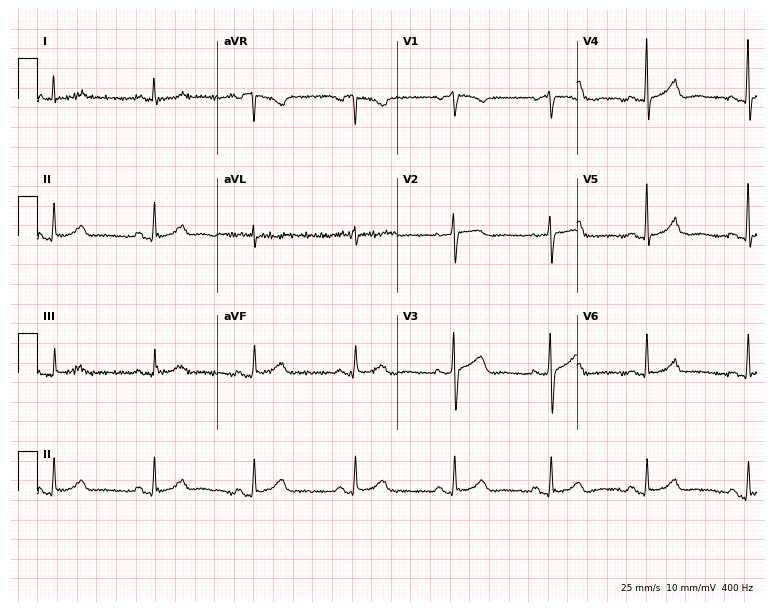
12-lead ECG from a 50-year-old female patient. Recorded interpretation: within normal limits.